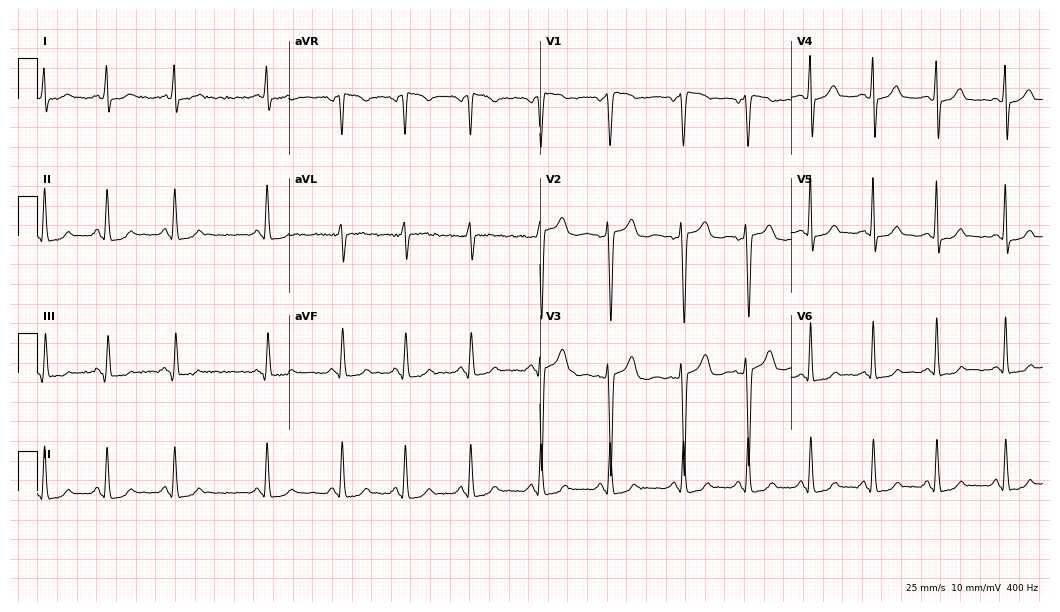
12-lead ECG from a 41-year-old woman (10.2-second recording at 400 Hz). No first-degree AV block, right bundle branch block, left bundle branch block, sinus bradycardia, atrial fibrillation or sinus tachycardia recorded for this tracing. Only these six findings were labelled.